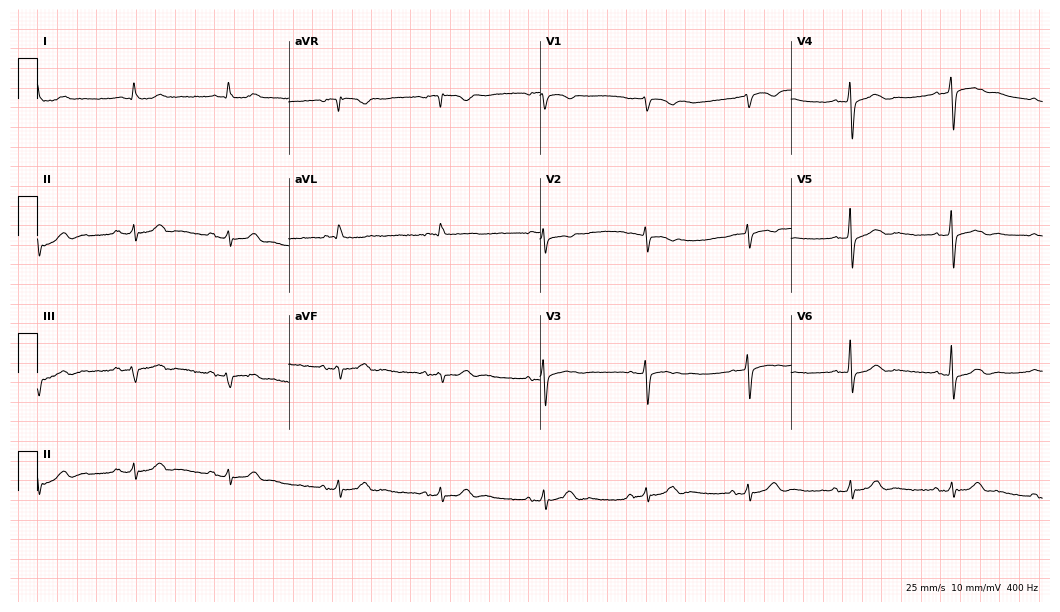
12-lead ECG from an 80-year-old male (10.2-second recording at 400 Hz). No first-degree AV block, right bundle branch block, left bundle branch block, sinus bradycardia, atrial fibrillation or sinus tachycardia recorded for this tracing.